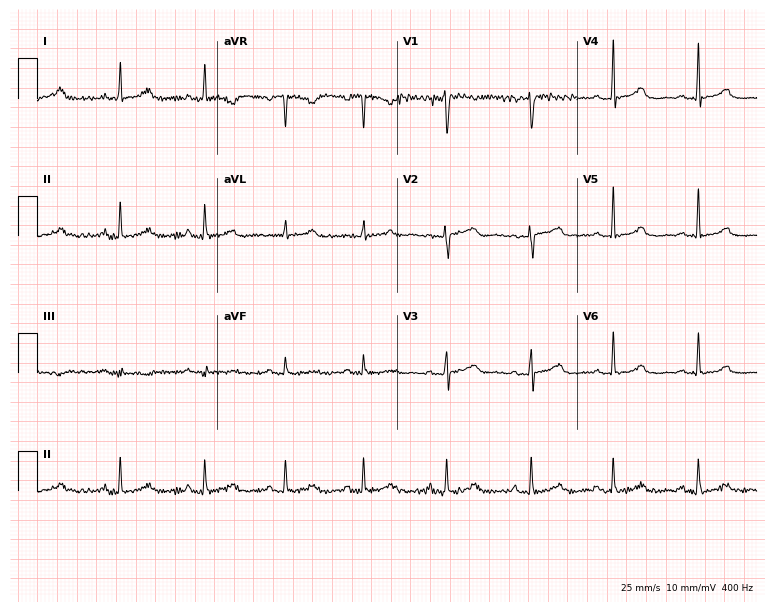
Resting 12-lead electrocardiogram. Patient: a 37-year-old woman. None of these six findings is recorded: first-degree AV block, right bundle branch block, left bundle branch block, sinus bradycardia, atrial fibrillation, sinus tachycardia. Other findings, if any, are not listed.